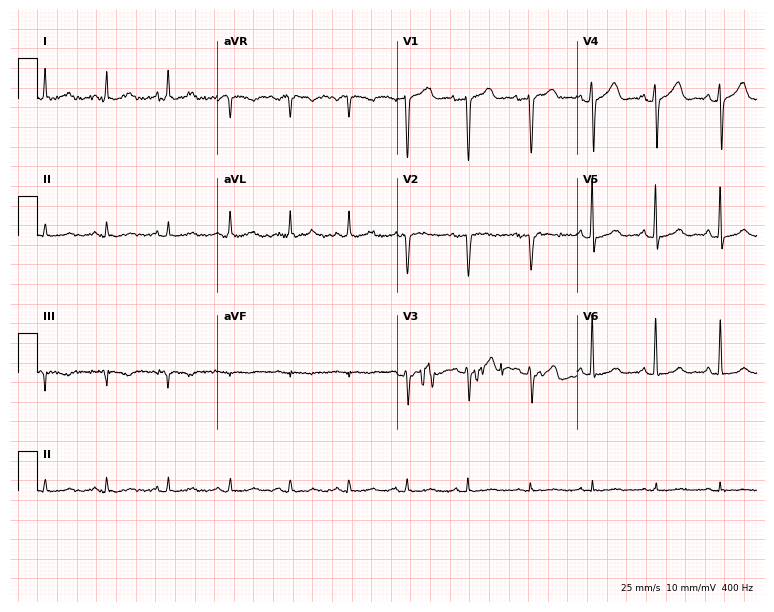
Resting 12-lead electrocardiogram. Patient: a woman, 43 years old. Read as a normal ECG.